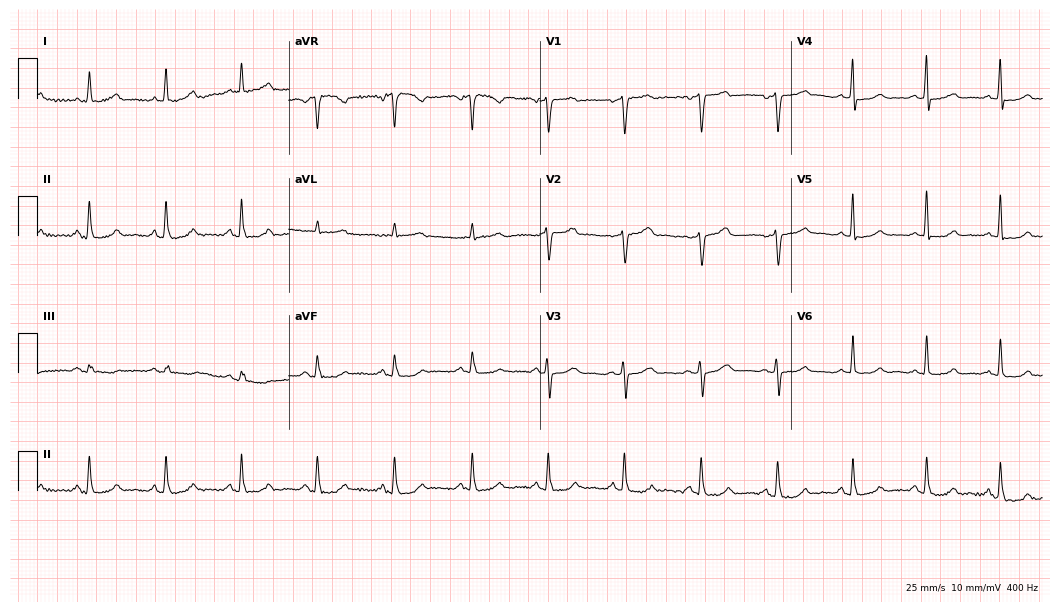
12-lead ECG from a 54-year-old female. Labelled as a normal ECG.